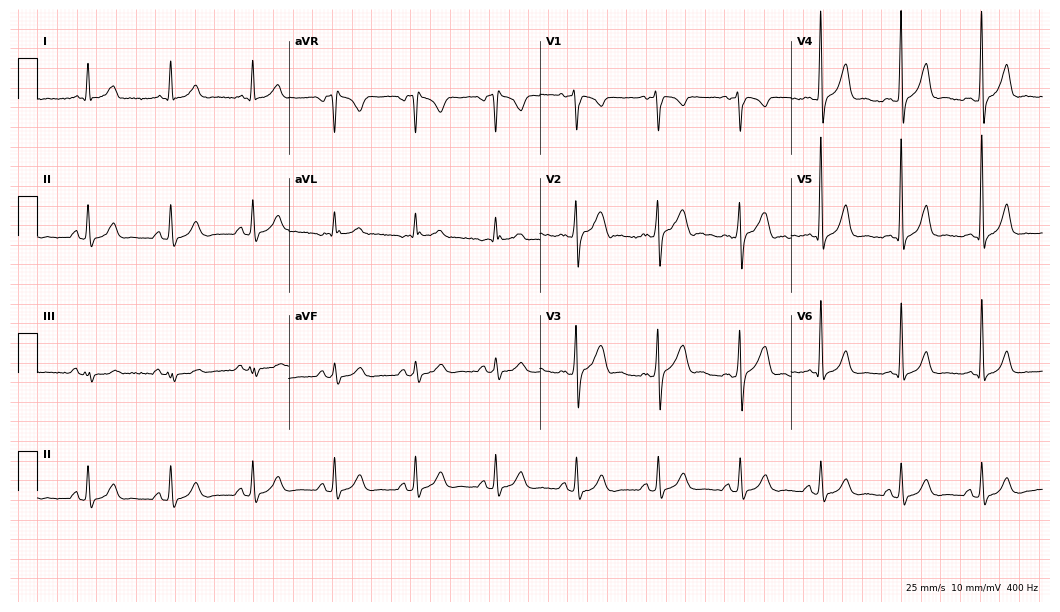
Standard 12-lead ECG recorded from a 36-year-old man (10.2-second recording at 400 Hz). Read as a normal ECG.